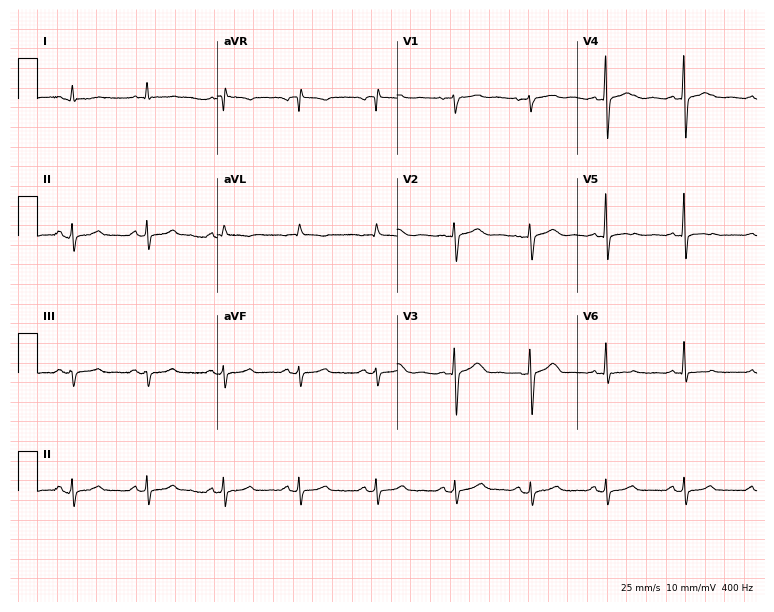
12-lead ECG from a 64-year-old man (7.3-second recording at 400 Hz). No first-degree AV block, right bundle branch block, left bundle branch block, sinus bradycardia, atrial fibrillation or sinus tachycardia recorded for this tracing.